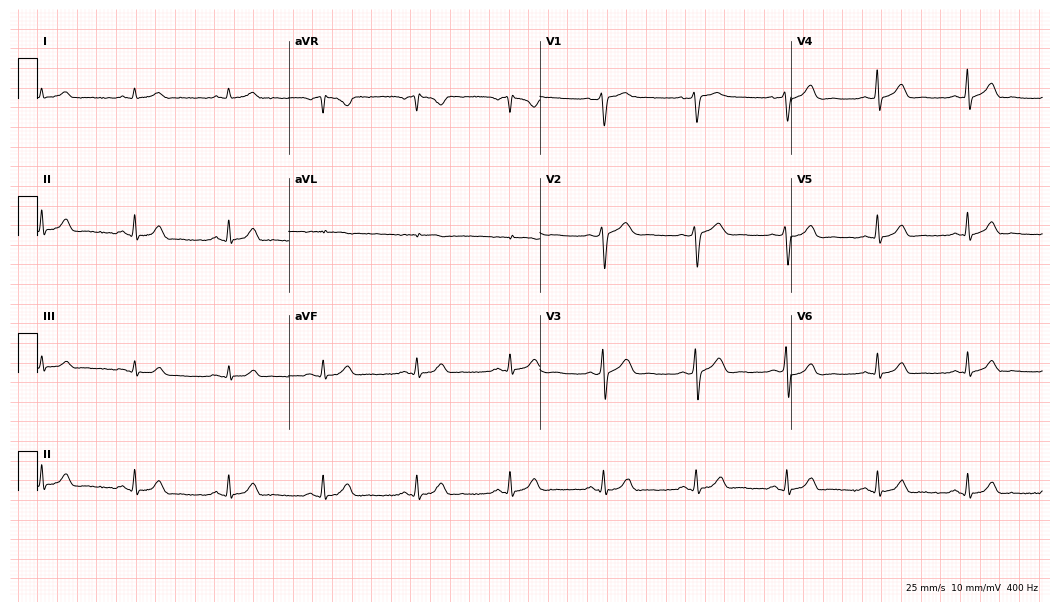
12-lead ECG from a male, 54 years old. No first-degree AV block, right bundle branch block (RBBB), left bundle branch block (LBBB), sinus bradycardia, atrial fibrillation (AF) or sinus tachycardia recorded for this tracing.